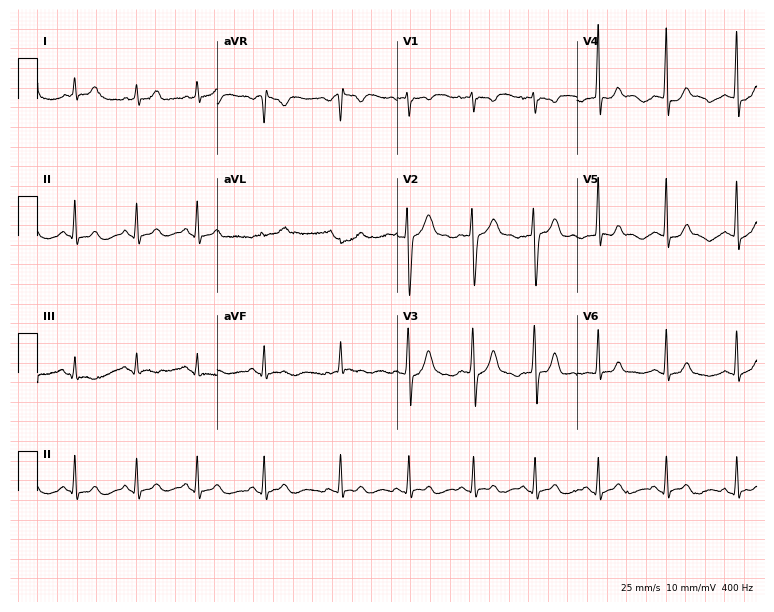
Electrocardiogram, a female patient, 17 years old. Overall reading on record: normal ECG.